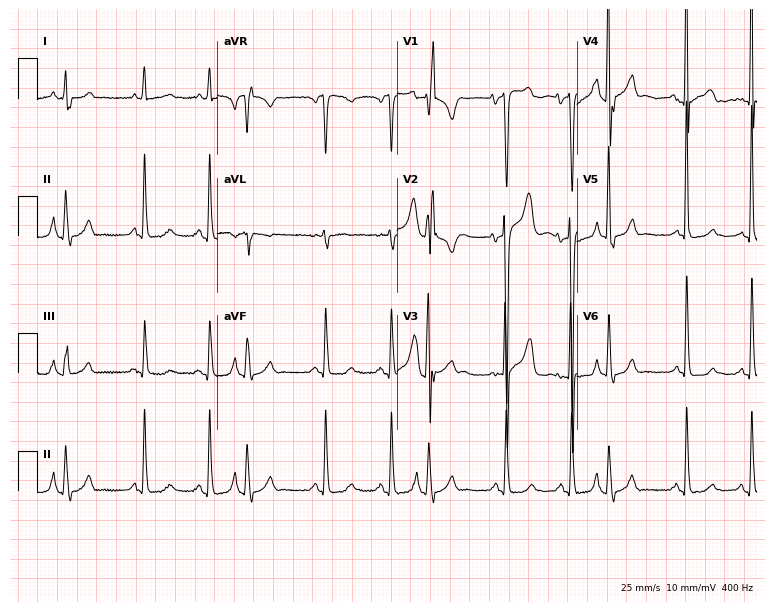
Resting 12-lead electrocardiogram (7.3-second recording at 400 Hz). Patient: a 69-year-old woman. None of these six findings is recorded: first-degree AV block, right bundle branch block, left bundle branch block, sinus bradycardia, atrial fibrillation, sinus tachycardia.